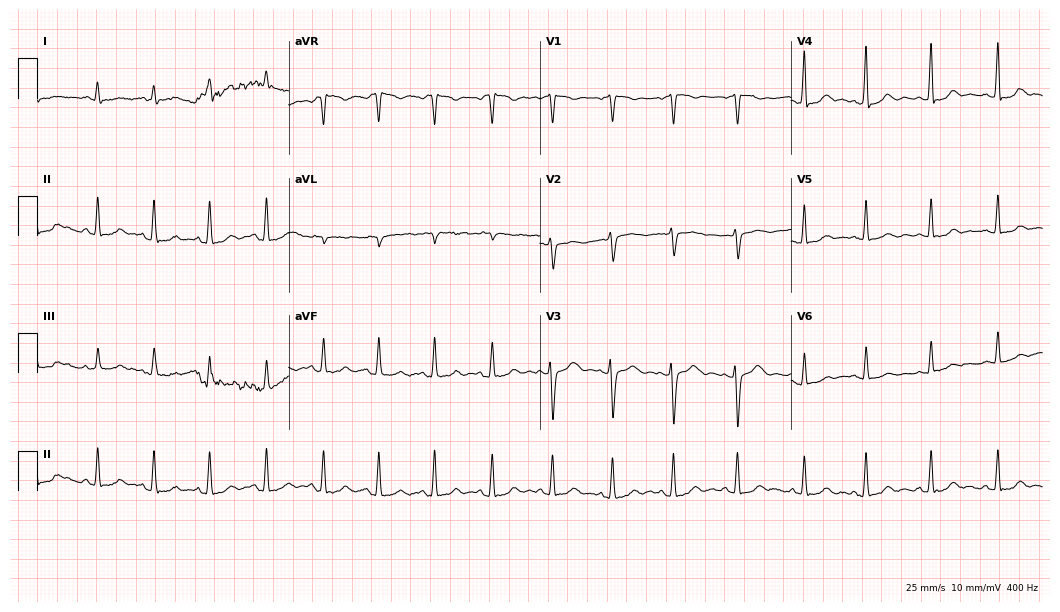
12-lead ECG from a 21-year-old female (10.2-second recording at 400 Hz). No first-degree AV block, right bundle branch block, left bundle branch block, sinus bradycardia, atrial fibrillation or sinus tachycardia recorded for this tracing. Other findings, if any, are not listed.